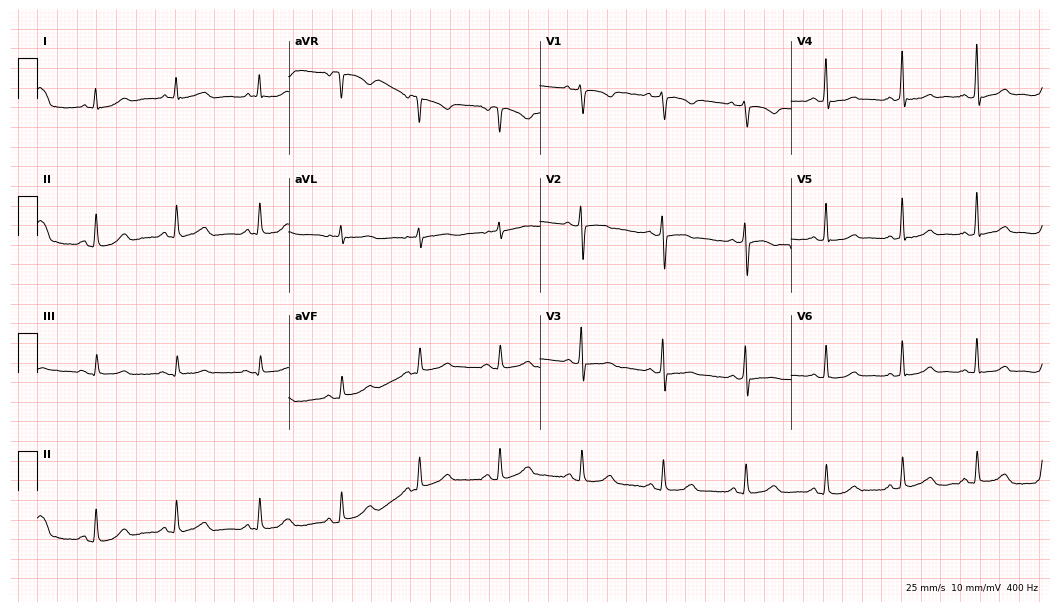
12-lead ECG from a woman, 36 years old. Screened for six findings — first-degree AV block, right bundle branch block, left bundle branch block, sinus bradycardia, atrial fibrillation, sinus tachycardia — none is recorded. Only these six findings were labelled.